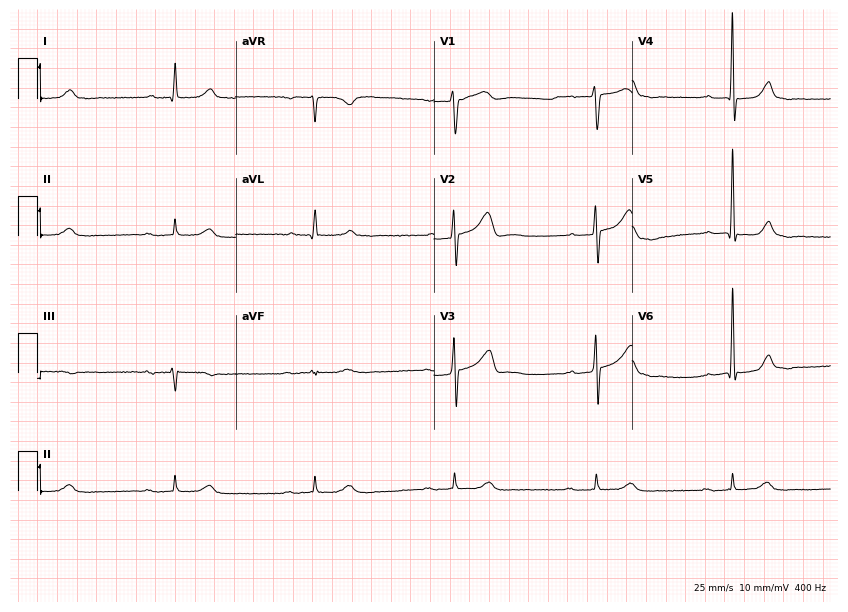
12-lead ECG from a 64-year-old male. Screened for six findings — first-degree AV block, right bundle branch block, left bundle branch block, sinus bradycardia, atrial fibrillation, sinus tachycardia — none is recorded. Findings outside these six are not listed.